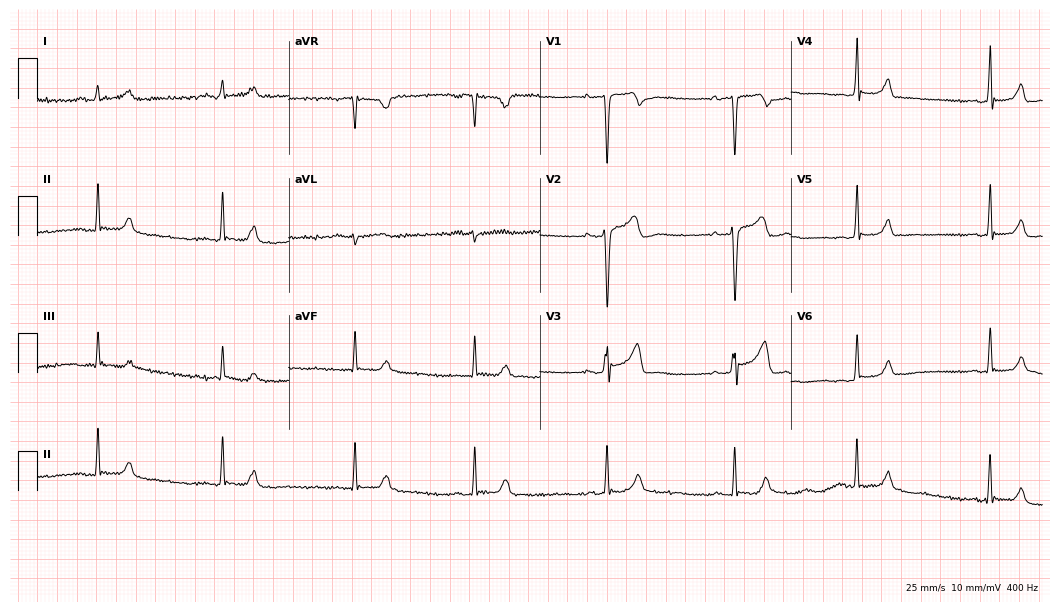
Standard 12-lead ECG recorded from a man, 32 years old. The tracing shows sinus bradycardia (a sinus rate of 50 beats per minute or less).